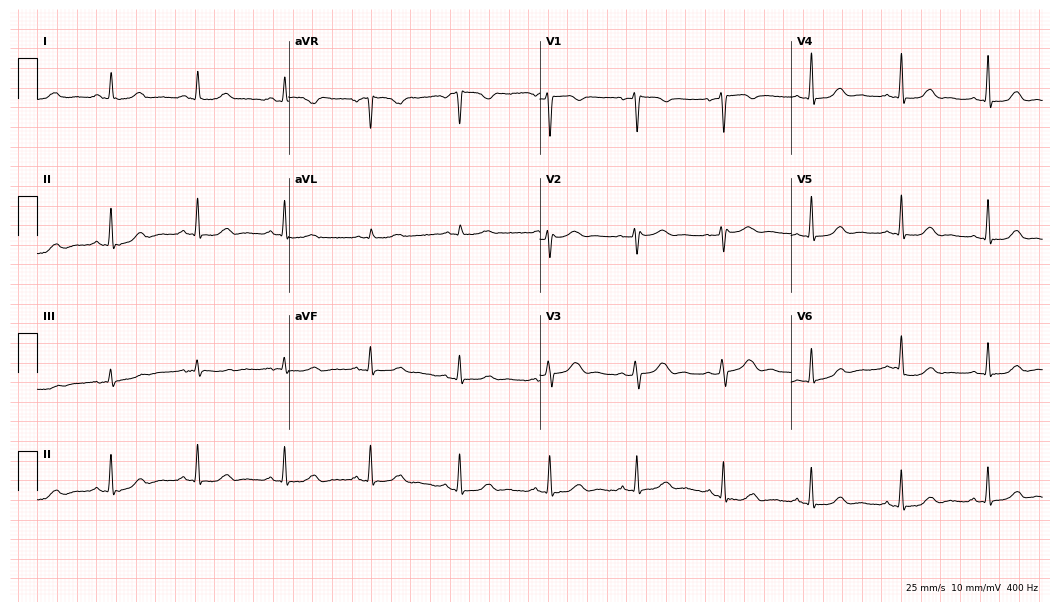
12-lead ECG from a 45-year-old female. Recorded interpretation: within normal limits.